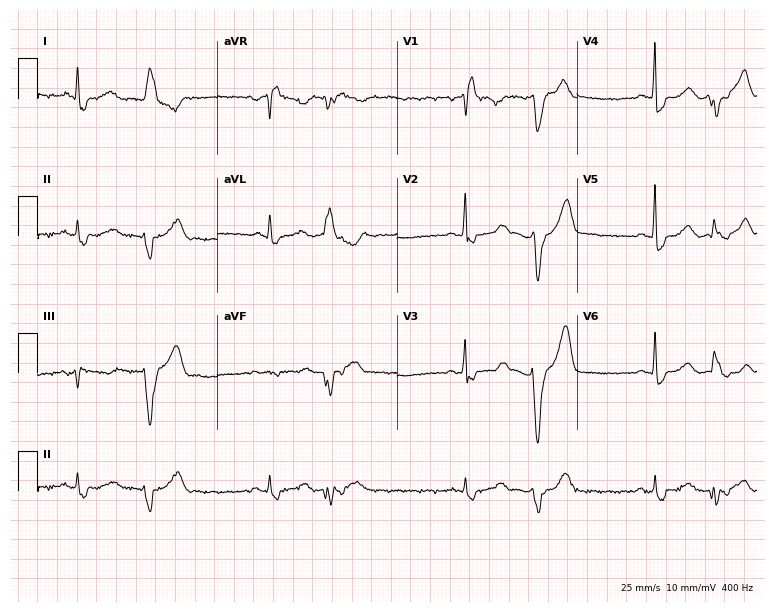
ECG — a female, 62 years old. Findings include right bundle branch block.